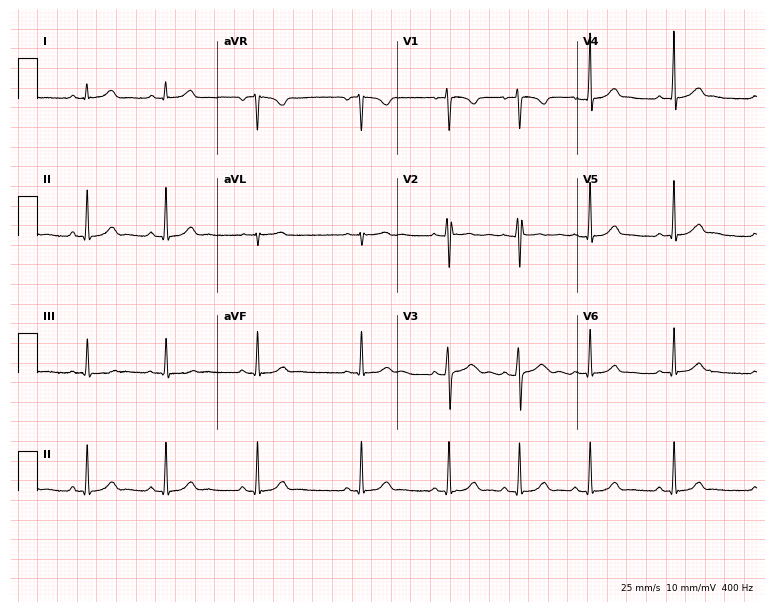
Standard 12-lead ECG recorded from a female, 22 years old. Read as a normal ECG.